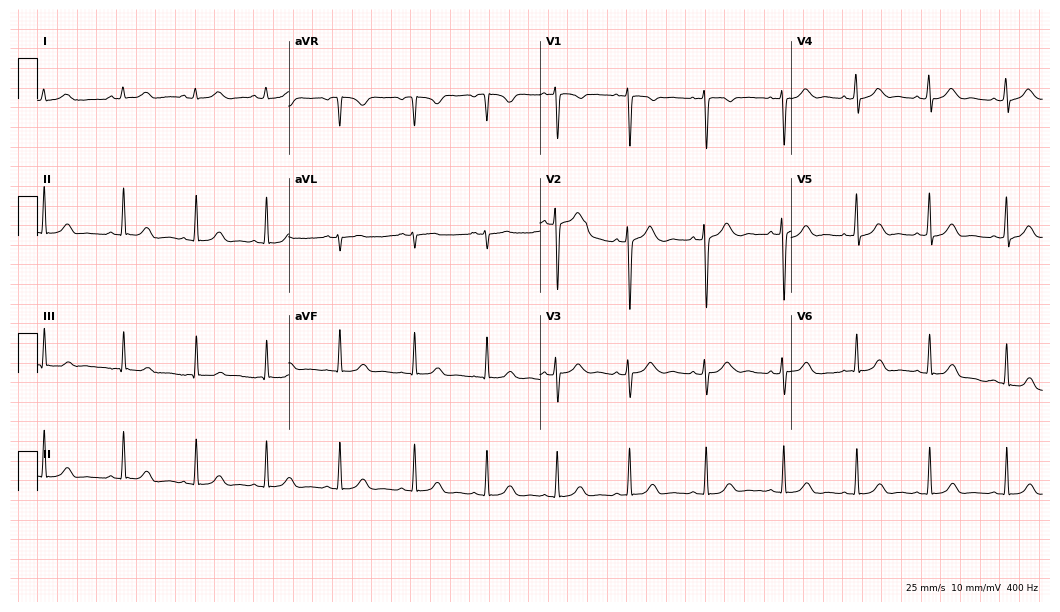
Resting 12-lead electrocardiogram (10.2-second recording at 400 Hz). Patient: a female, 18 years old. Read as a normal ECG.